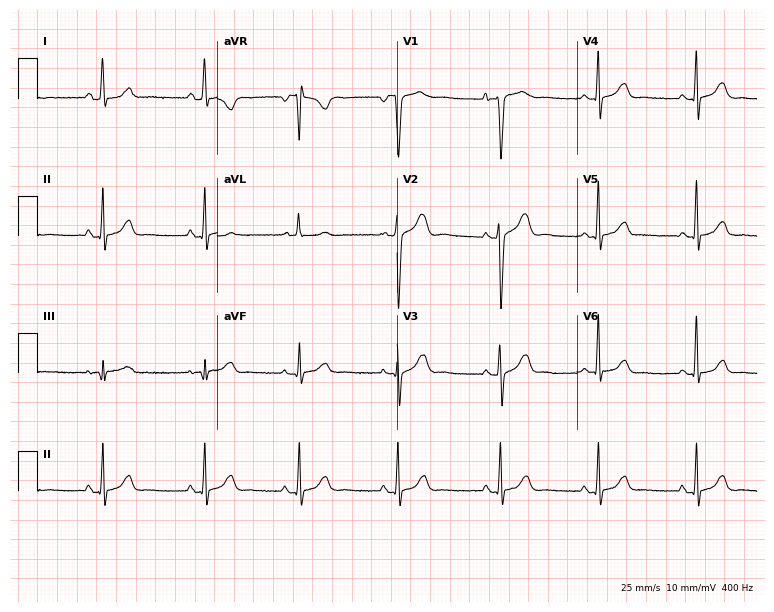
Standard 12-lead ECG recorded from a woman, 23 years old. Read as a normal ECG.